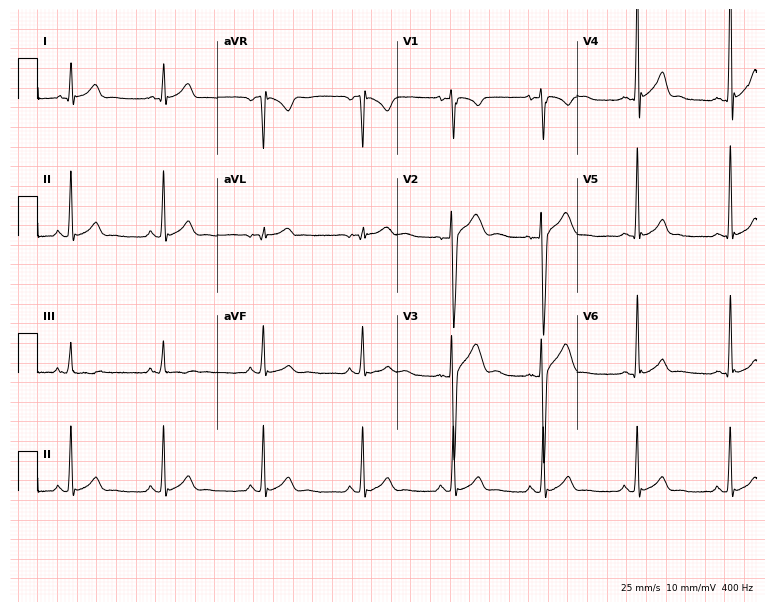
12-lead ECG from a 17-year-old male. Screened for six findings — first-degree AV block, right bundle branch block, left bundle branch block, sinus bradycardia, atrial fibrillation, sinus tachycardia — none is recorded.